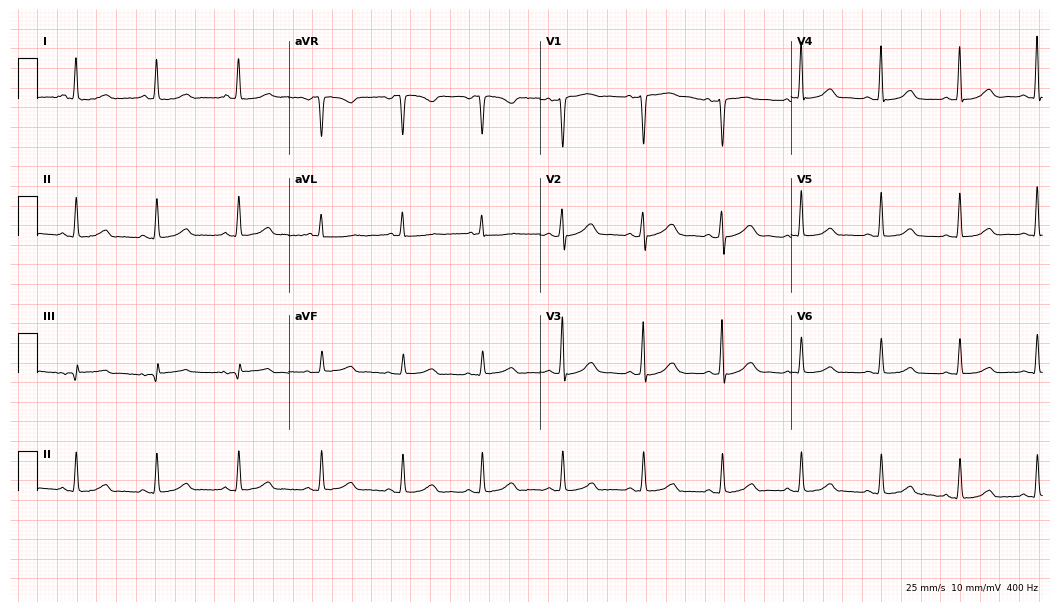
ECG — a 63-year-old woman. Screened for six findings — first-degree AV block, right bundle branch block, left bundle branch block, sinus bradycardia, atrial fibrillation, sinus tachycardia — none is recorded.